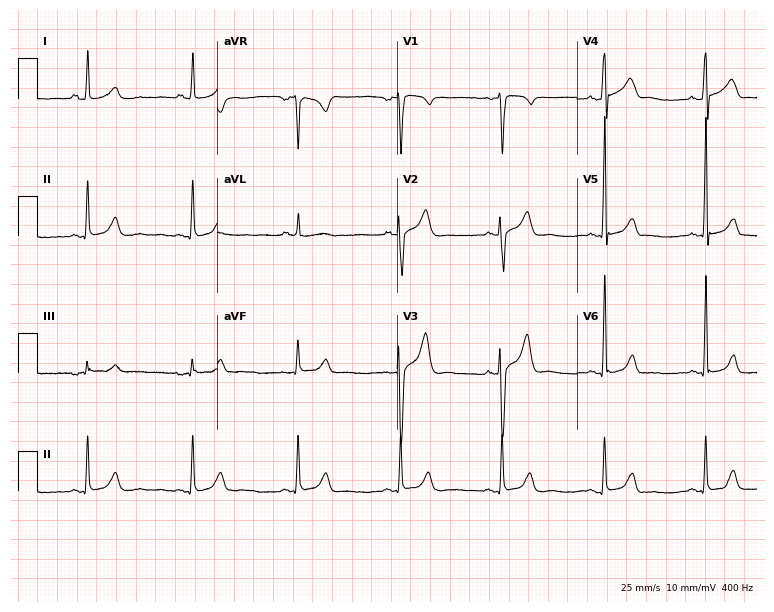
12-lead ECG from a male patient, 39 years old. Recorded interpretation: within normal limits.